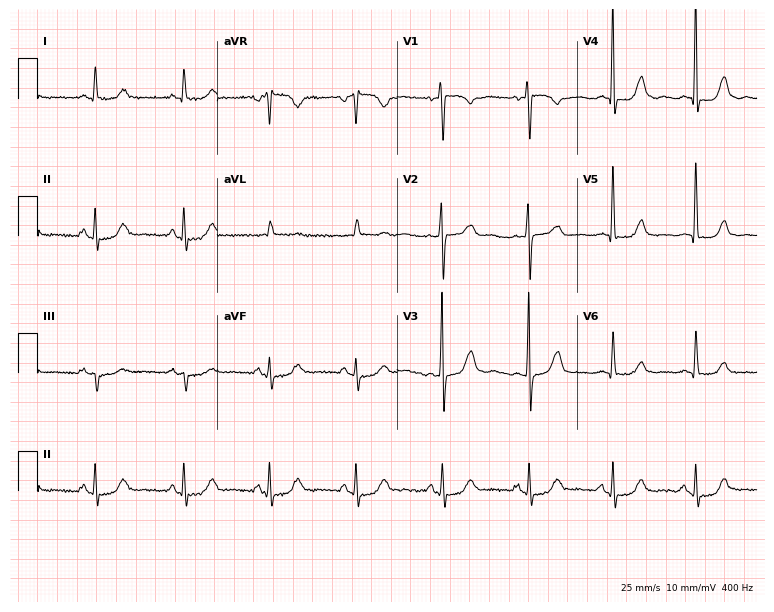
Electrocardiogram (7.3-second recording at 400 Hz), a female, 60 years old. Of the six screened findings (first-degree AV block, right bundle branch block, left bundle branch block, sinus bradycardia, atrial fibrillation, sinus tachycardia), none is recorded. Other findings, if any, are not listed.